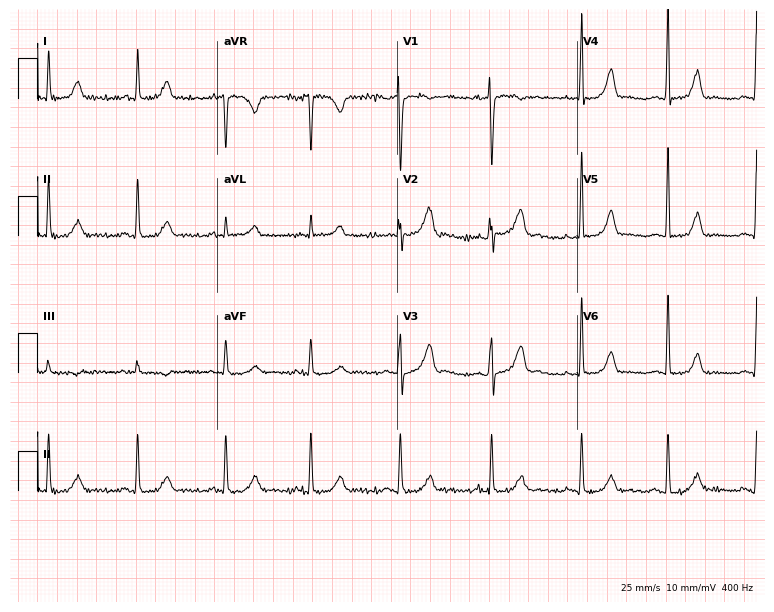
Electrocardiogram, a 53-year-old woman. Of the six screened findings (first-degree AV block, right bundle branch block, left bundle branch block, sinus bradycardia, atrial fibrillation, sinus tachycardia), none is recorded.